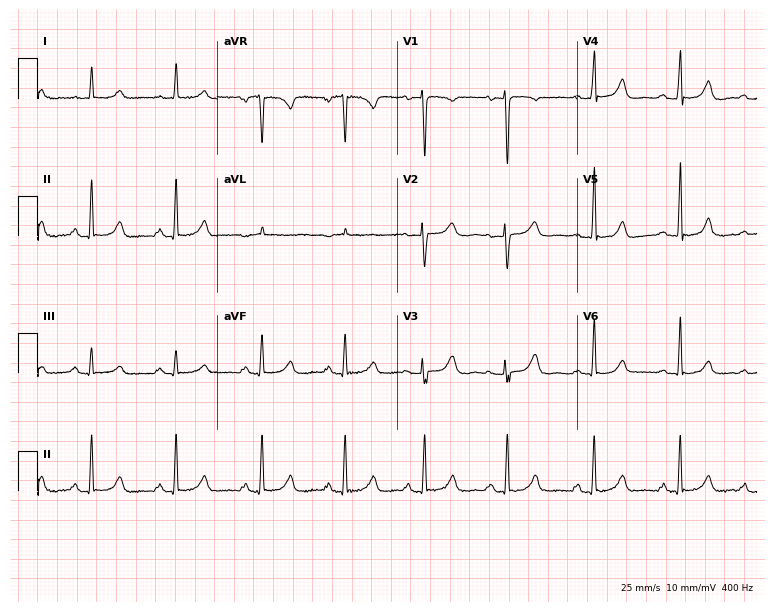
Standard 12-lead ECG recorded from a 49-year-old woman. None of these six findings is recorded: first-degree AV block, right bundle branch block, left bundle branch block, sinus bradycardia, atrial fibrillation, sinus tachycardia.